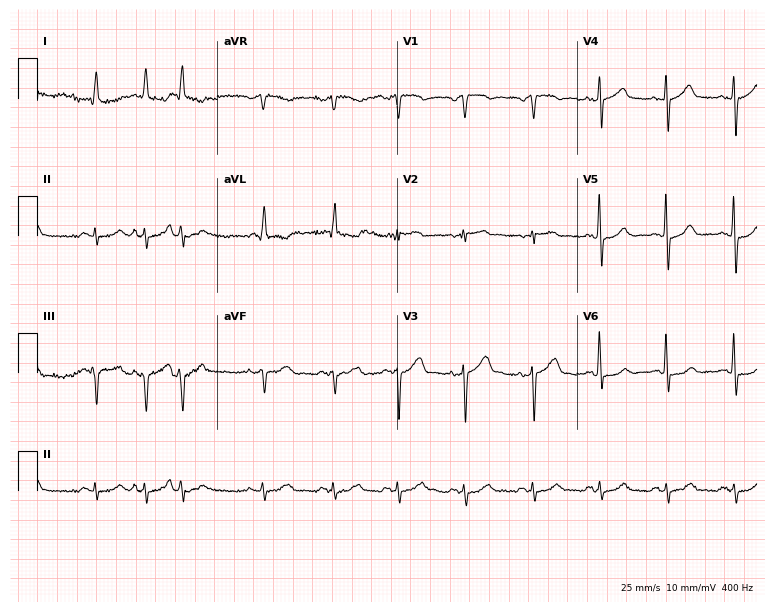
12-lead ECG from an 84-year-old man (7.3-second recording at 400 Hz). No first-degree AV block, right bundle branch block (RBBB), left bundle branch block (LBBB), sinus bradycardia, atrial fibrillation (AF) or sinus tachycardia recorded for this tracing. Only these six findings were labelled.